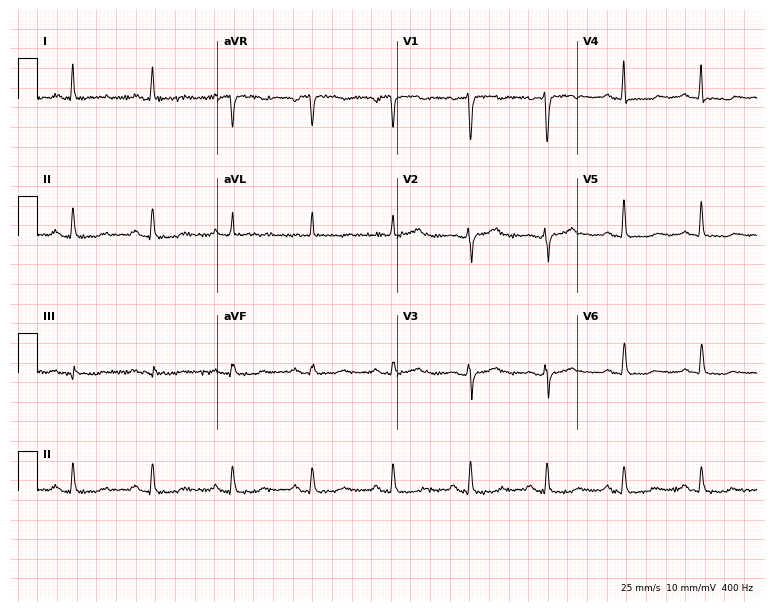
Resting 12-lead electrocardiogram (7.3-second recording at 400 Hz). Patient: a 60-year-old female. None of these six findings is recorded: first-degree AV block, right bundle branch block, left bundle branch block, sinus bradycardia, atrial fibrillation, sinus tachycardia.